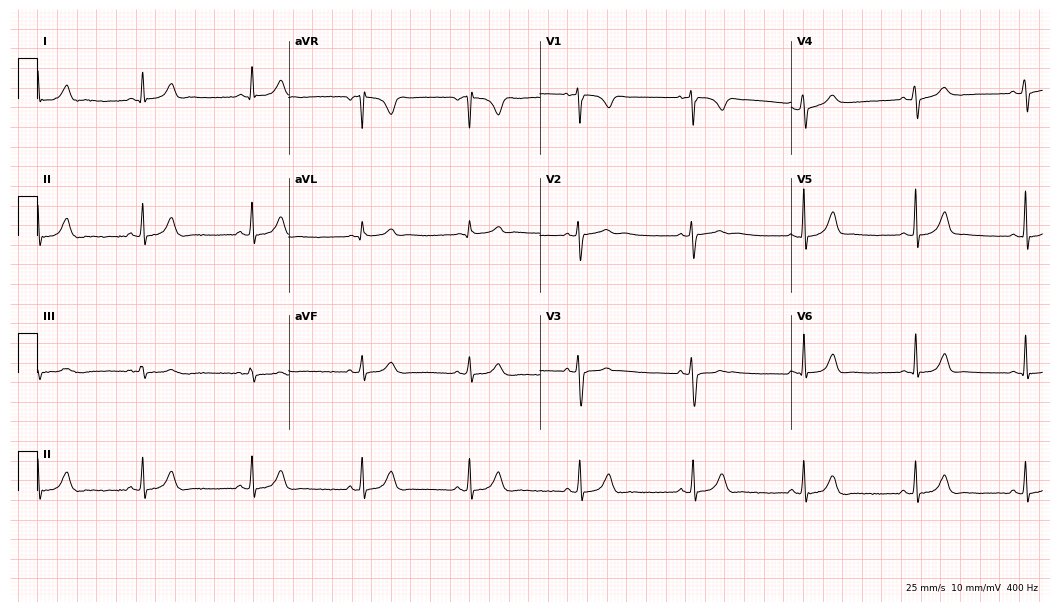
ECG — a female, 27 years old. Screened for six findings — first-degree AV block, right bundle branch block, left bundle branch block, sinus bradycardia, atrial fibrillation, sinus tachycardia — none is recorded. Findings outside these six are not listed.